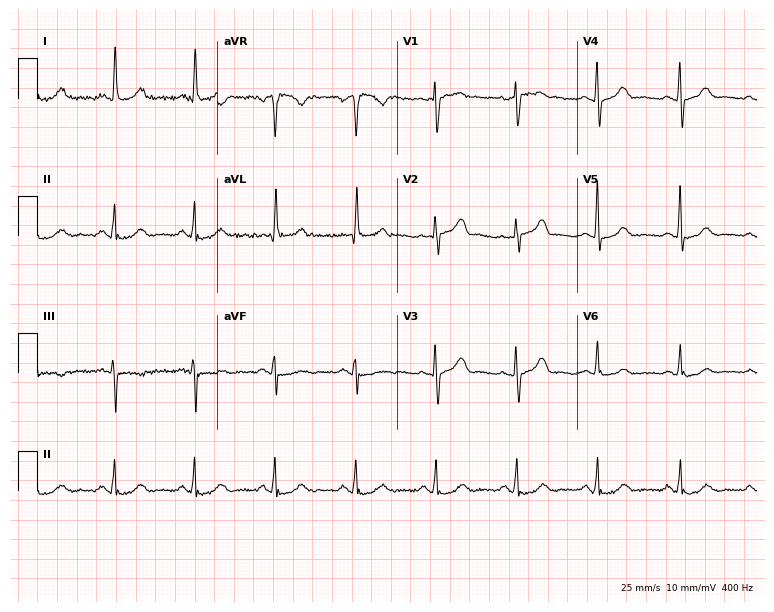
Resting 12-lead electrocardiogram. Patient: a 64-year-old woman. None of these six findings is recorded: first-degree AV block, right bundle branch block, left bundle branch block, sinus bradycardia, atrial fibrillation, sinus tachycardia. Only these six findings were labelled.